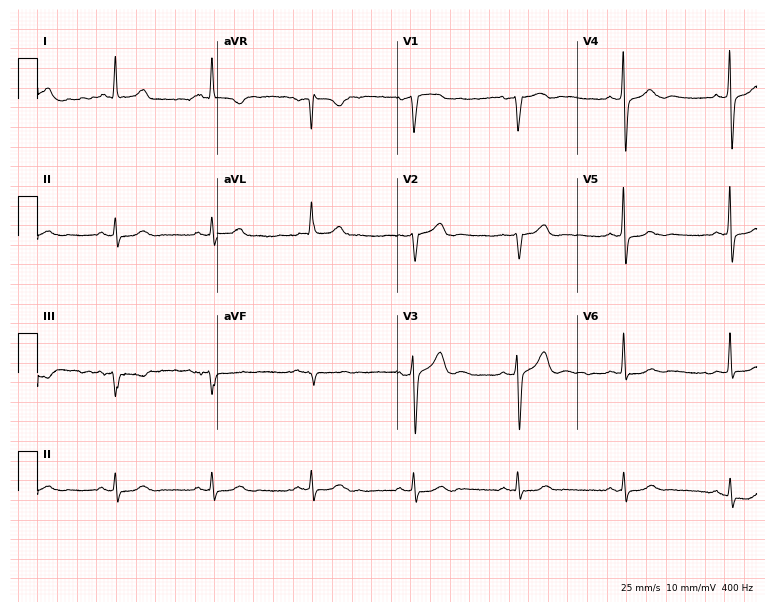
ECG (7.3-second recording at 400 Hz) — a male, 65 years old. Screened for six findings — first-degree AV block, right bundle branch block, left bundle branch block, sinus bradycardia, atrial fibrillation, sinus tachycardia — none is recorded.